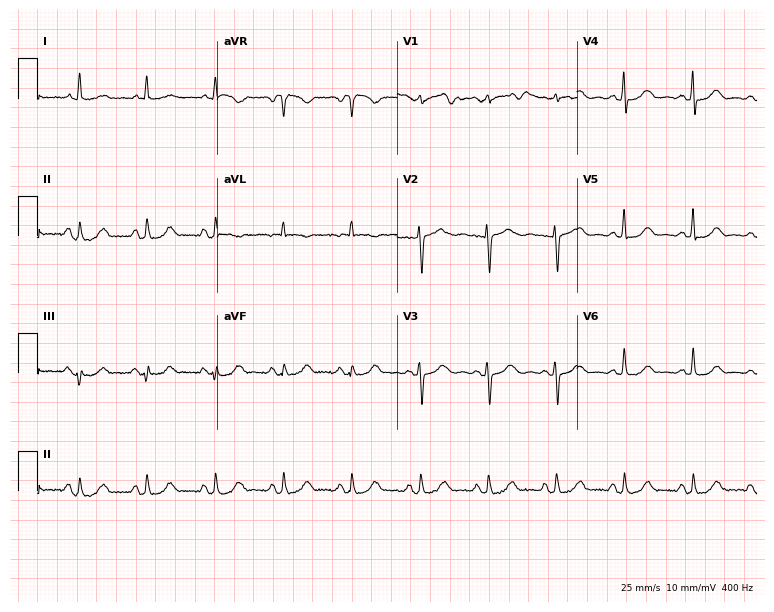
ECG — a 56-year-old woman. Screened for six findings — first-degree AV block, right bundle branch block, left bundle branch block, sinus bradycardia, atrial fibrillation, sinus tachycardia — none is recorded. Only these six findings were labelled.